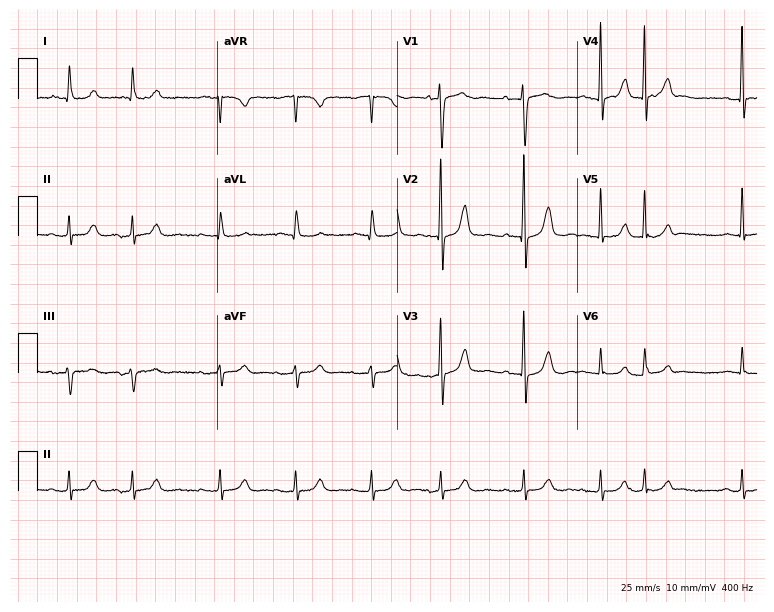
Standard 12-lead ECG recorded from an 81-year-old female (7.3-second recording at 400 Hz). None of these six findings is recorded: first-degree AV block, right bundle branch block (RBBB), left bundle branch block (LBBB), sinus bradycardia, atrial fibrillation (AF), sinus tachycardia.